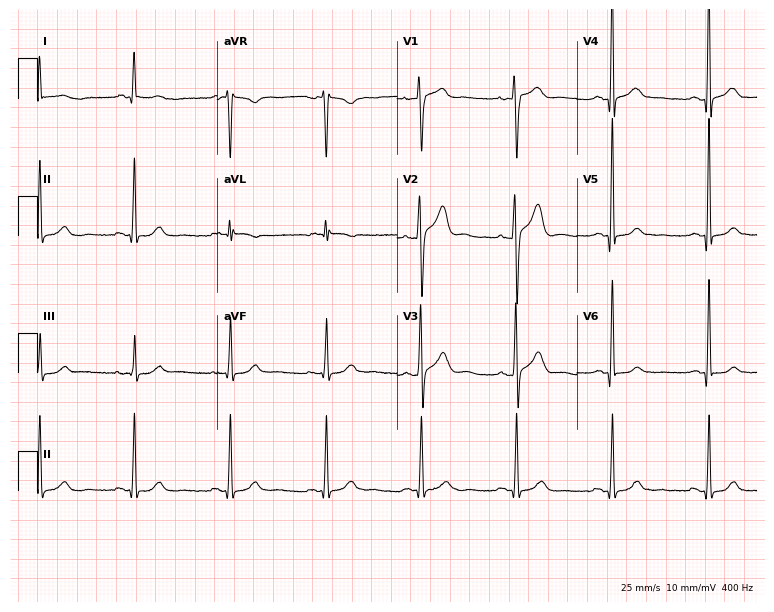
12-lead ECG from a male, 61 years old (7.3-second recording at 400 Hz). No first-degree AV block, right bundle branch block, left bundle branch block, sinus bradycardia, atrial fibrillation or sinus tachycardia recorded for this tracing.